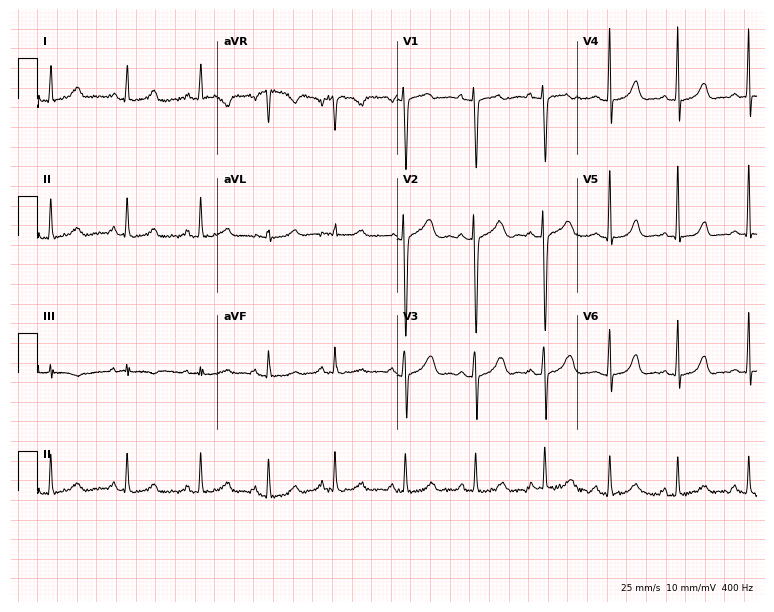
12-lead ECG from a female, 24 years old (7.3-second recording at 400 Hz). Recorded interpretation: within normal limits.